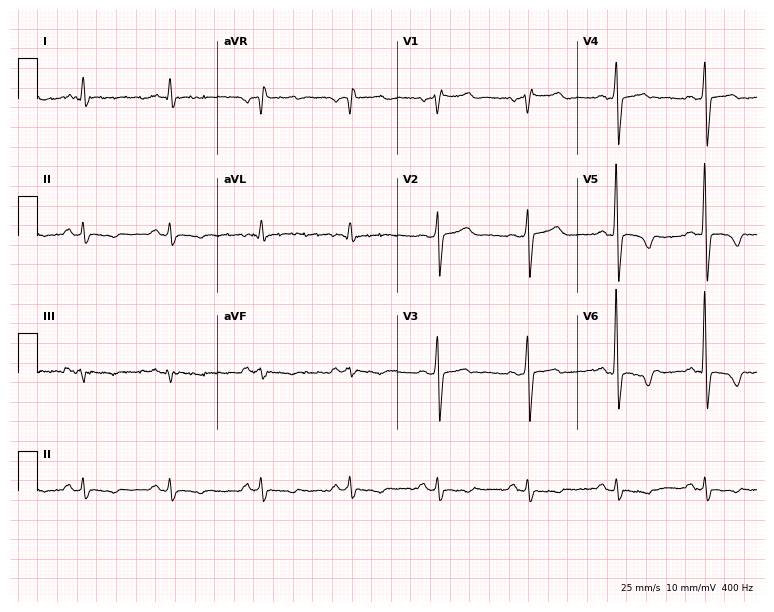
ECG — a male, 69 years old. Screened for six findings — first-degree AV block, right bundle branch block, left bundle branch block, sinus bradycardia, atrial fibrillation, sinus tachycardia — none is recorded. Other findings, if any, are not listed.